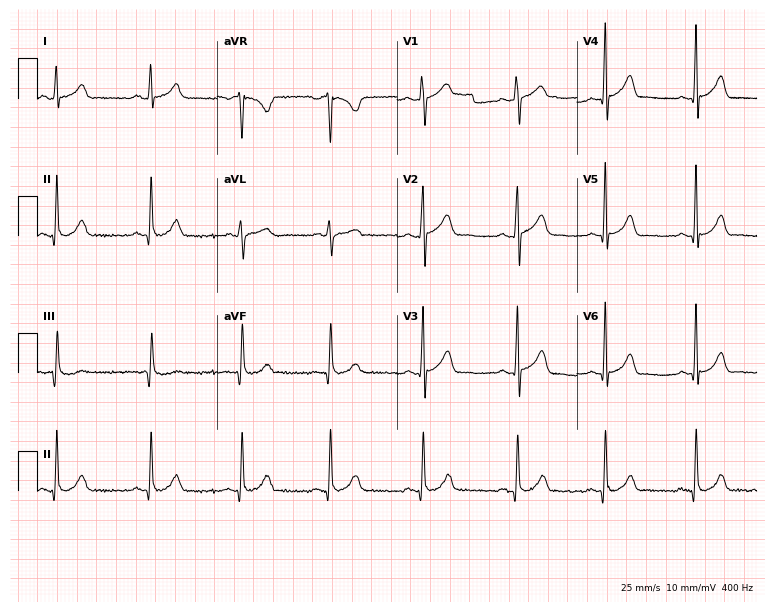
12-lead ECG (7.3-second recording at 400 Hz) from a male patient, 30 years old. Labelled as a normal ECG.